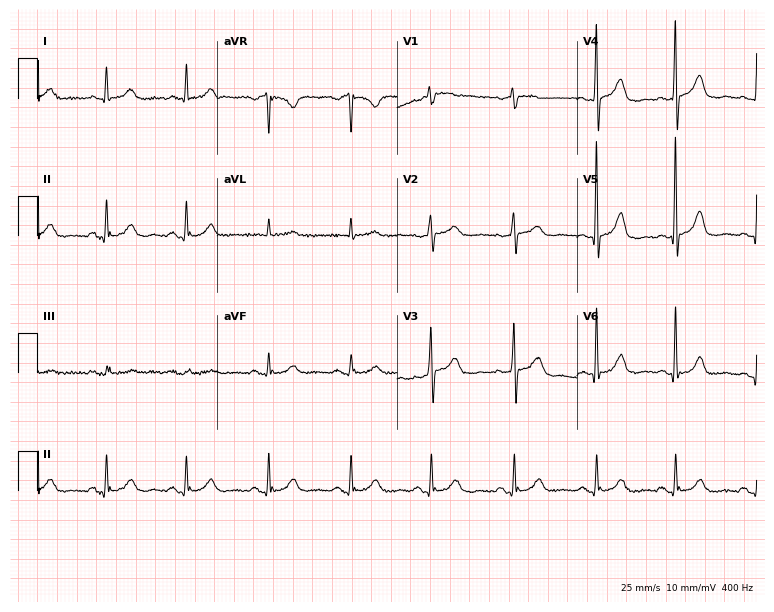
Resting 12-lead electrocardiogram (7.3-second recording at 400 Hz). Patient: a female, 78 years old. None of these six findings is recorded: first-degree AV block, right bundle branch block (RBBB), left bundle branch block (LBBB), sinus bradycardia, atrial fibrillation (AF), sinus tachycardia. Other findings, if any, are not listed.